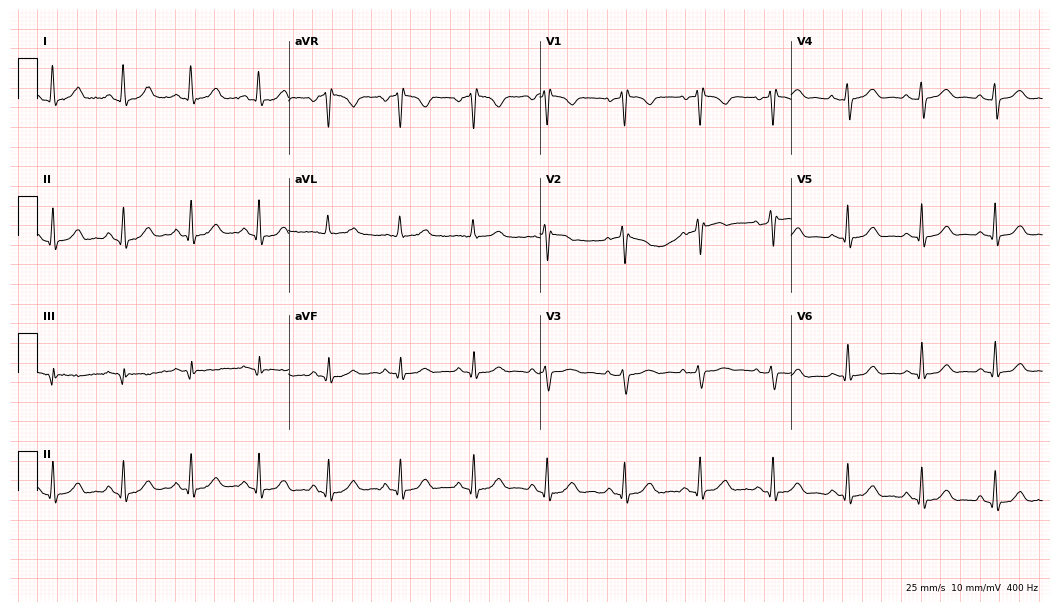
12-lead ECG from a 49-year-old female (10.2-second recording at 400 Hz). No first-degree AV block, right bundle branch block, left bundle branch block, sinus bradycardia, atrial fibrillation or sinus tachycardia recorded for this tracing. Only these six findings were labelled.